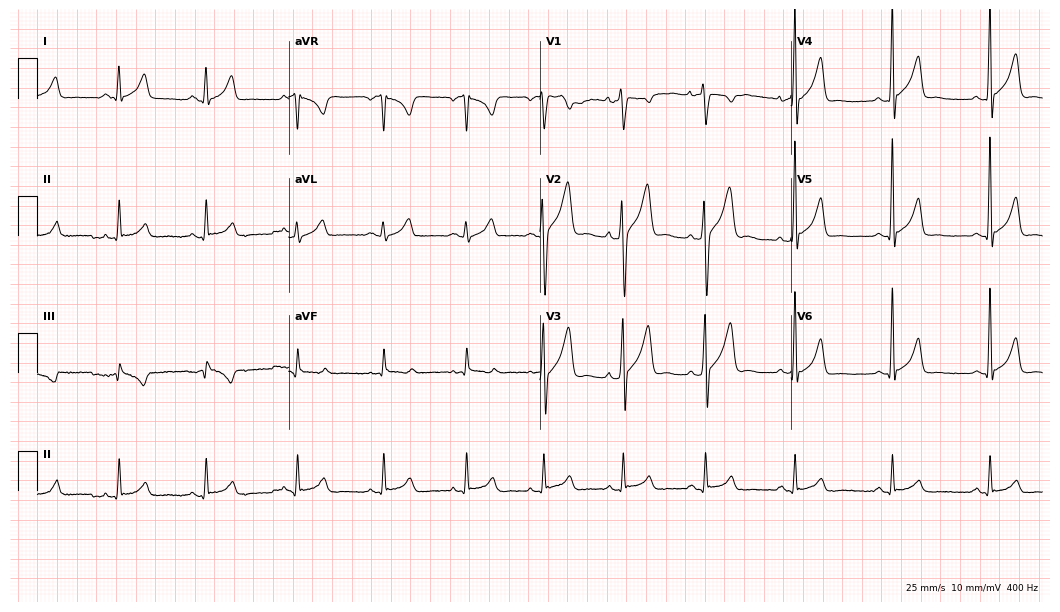
Resting 12-lead electrocardiogram. Patient: a male, 27 years old. None of these six findings is recorded: first-degree AV block, right bundle branch block, left bundle branch block, sinus bradycardia, atrial fibrillation, sinus tachycardia.